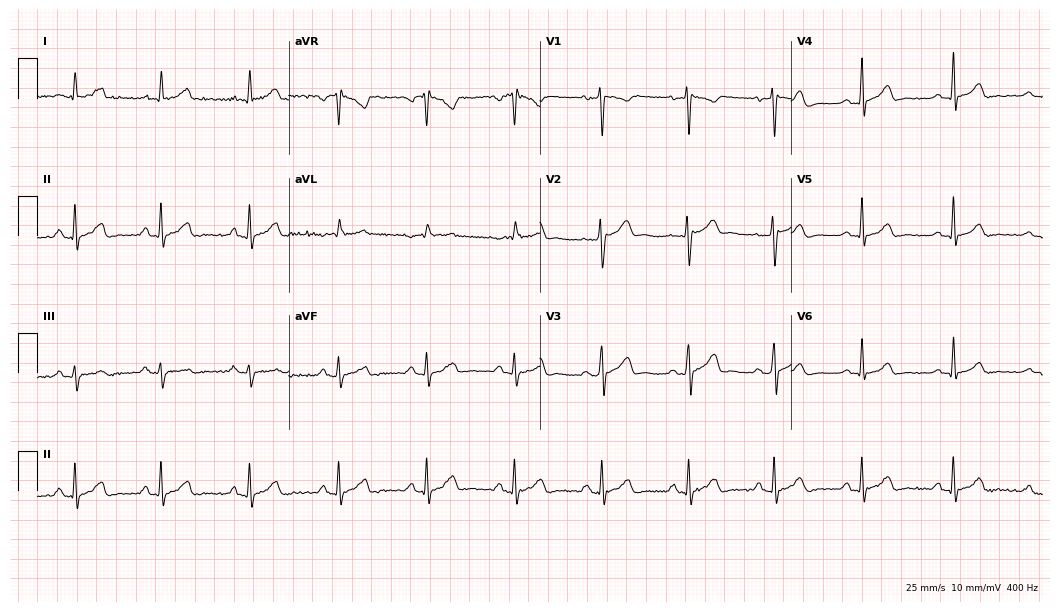
Standard 12-lead ECG recorded from a 29-year-old man. Read as a normal ECG.